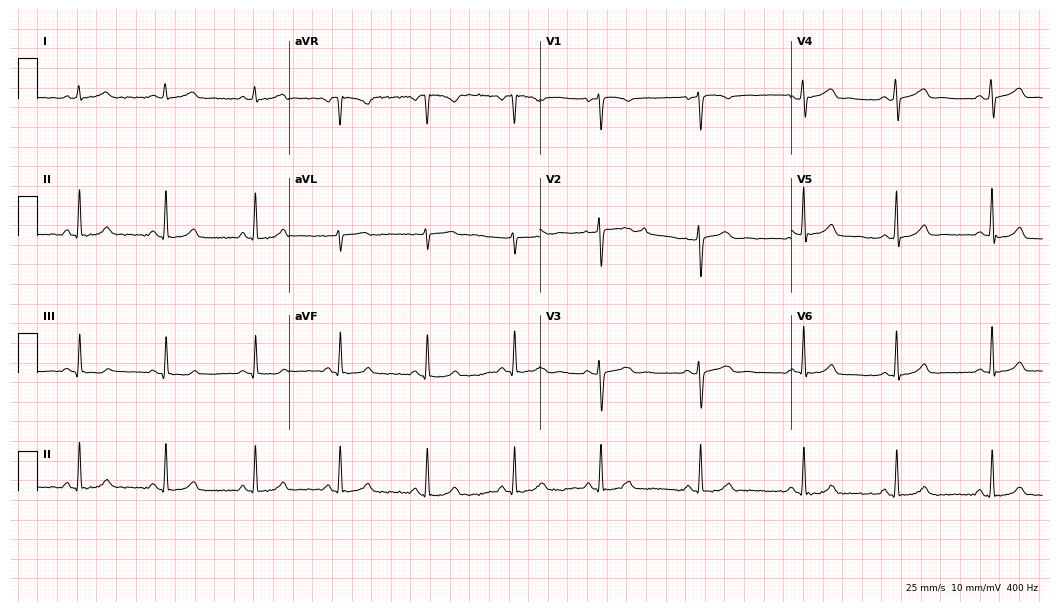
ECG (10.2-second recording at 400 Hz) — a female patient, 44 years old. Labelled as a normal ECG.